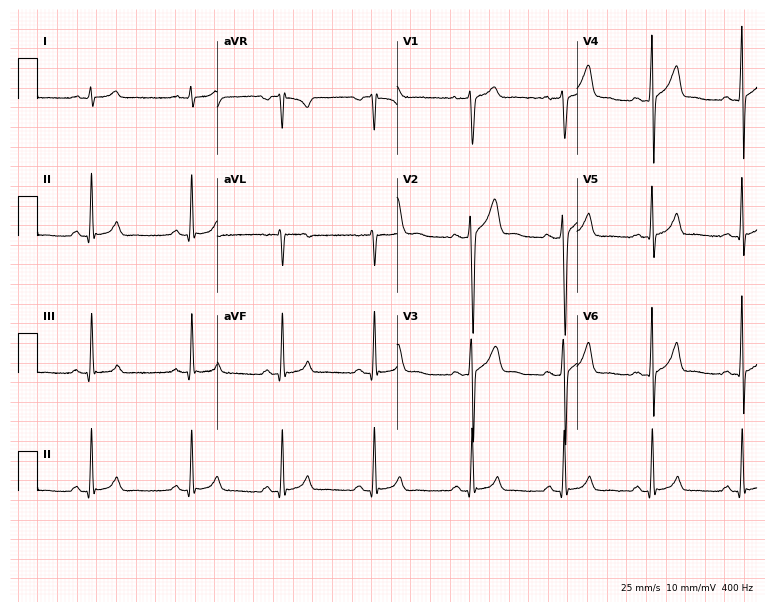
Resting 12-lead electrocardiogram. Patient: a 21-year-old male. Read as a normal ECG.